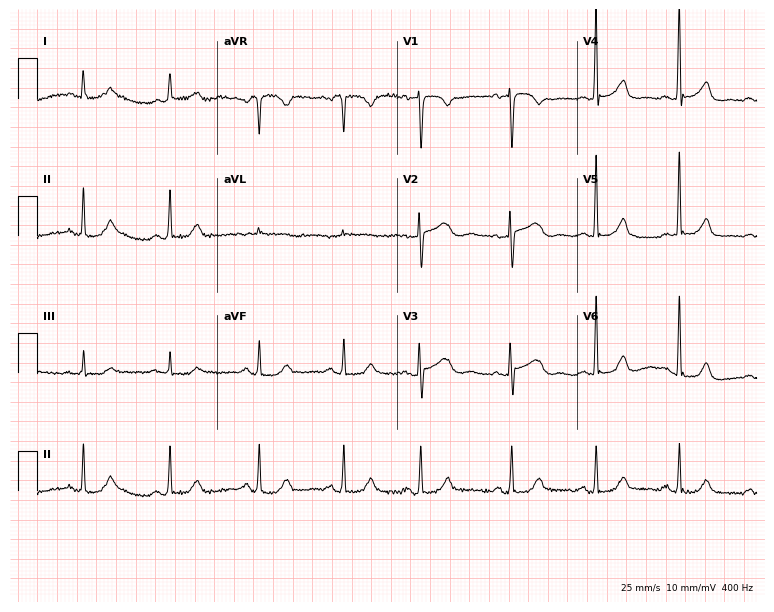
ECG (7.3-second recording at 400 Hz) — a 63-year-old female. Labelled as a normal ECG.